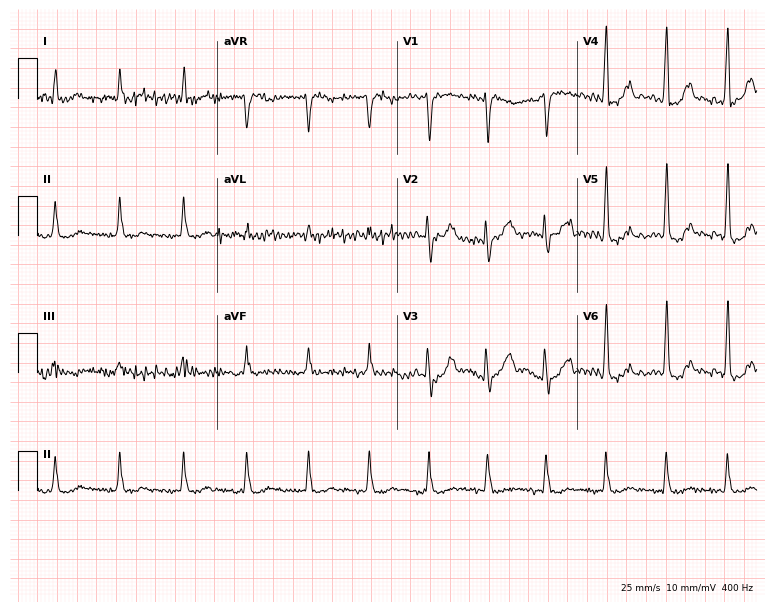
Electrocardiogram (7.3-second recording at 400 Hz), a 58-year-old male. Of the six screened findings (first-degree AV block, right bundle branch block, left bundle branch block, sinus bradycardia, atrial fibrillation, sinus tachycardia), none is recorded. Only these six findings were labelled.